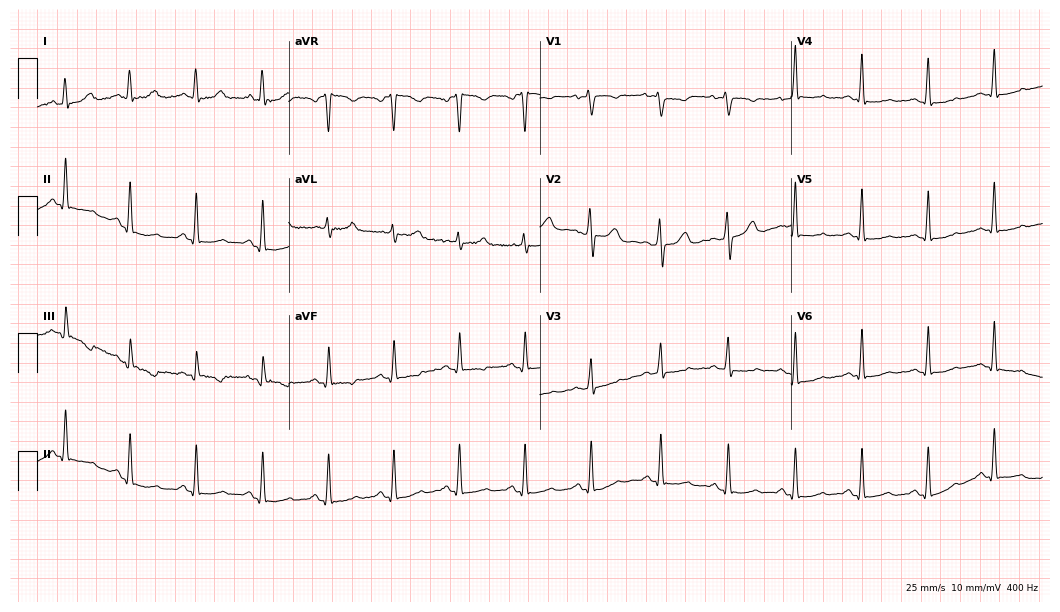
ECG — a woman, 33 years old. Screened for six findings — first-degree AV block, right bundle branch block, left bundle branch block, sinus bradycardia, atrial fibrillation, sinus tachycardia — none is recorded.